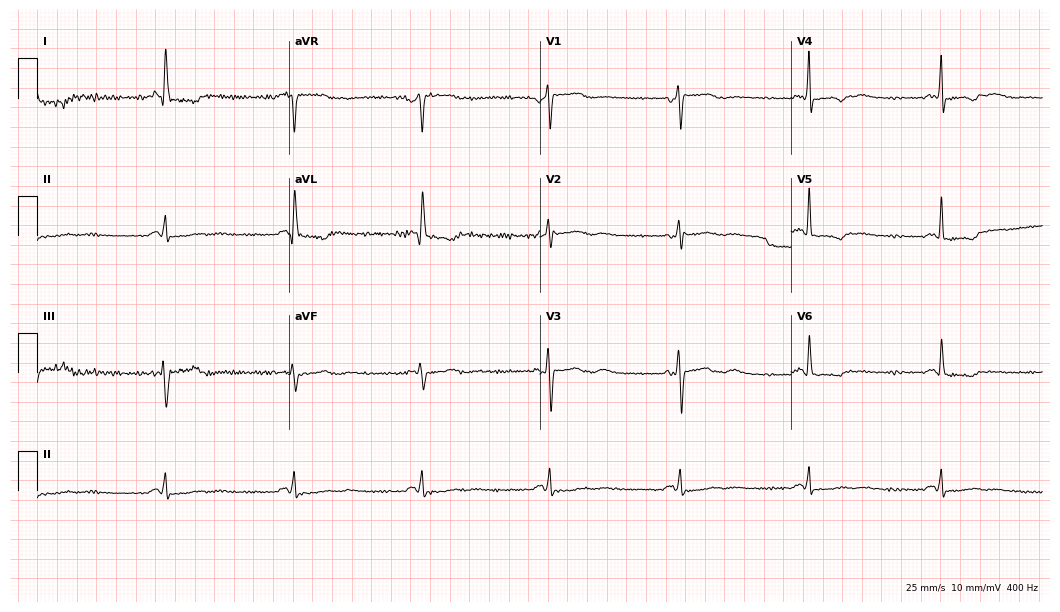
Electrocardiogram, a woman, 61 years old. Interpretation includes sinus bradycardia (a sinus rate of 50 beats per minute or less).